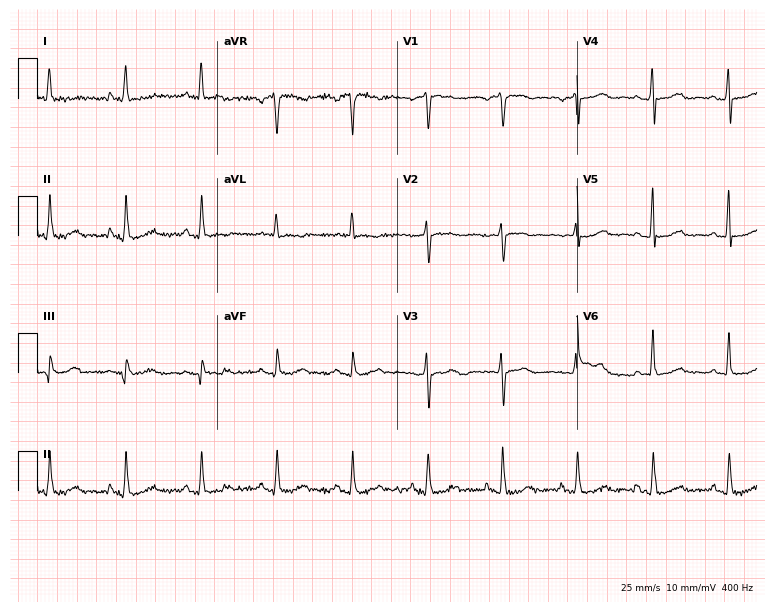
Electrocardiogram (7.3-second recording at 400 Hz), a 65-year-old female patient. Of the six screened findings (first-degree AV block, right bundle branch block, left bundle branch block, sinus bradycardia, atrial fibrillation, sinus tachycardia), none is recorded.